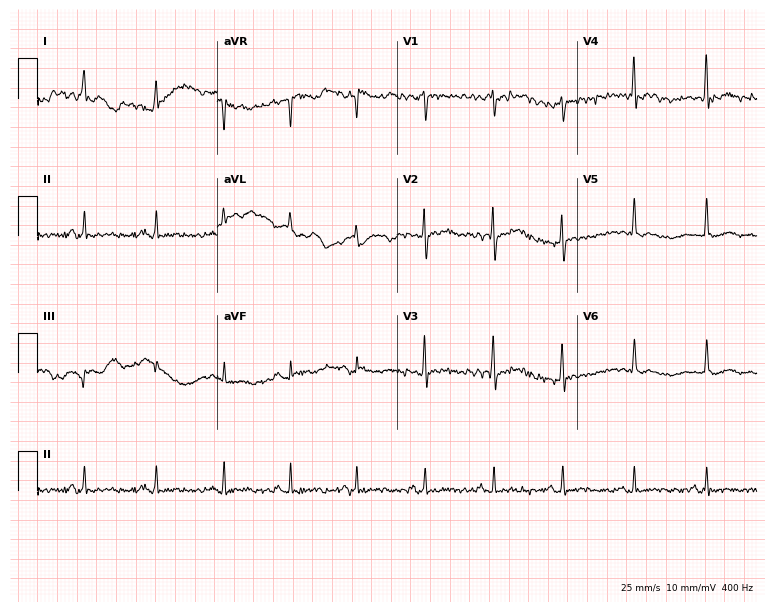
Standard 12-lead ECG recorded from a 37-year-old female. Read as a normal ECG.